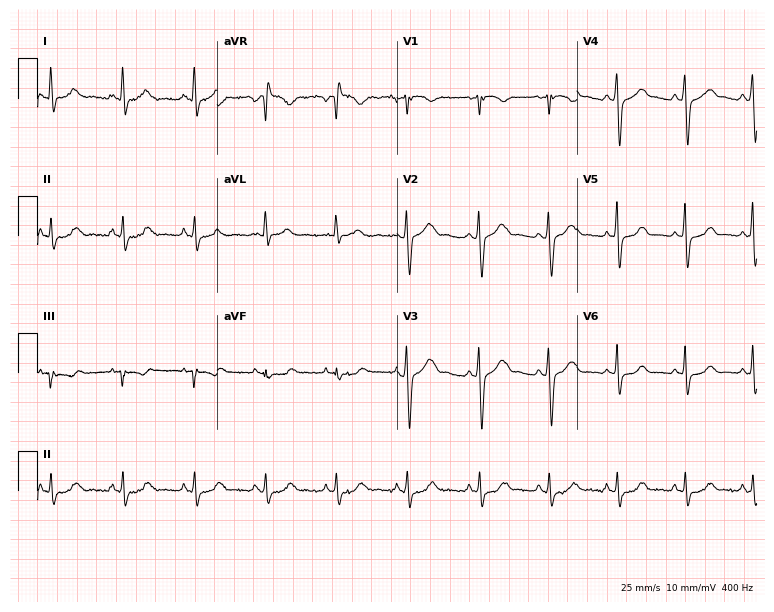
ECG (7.3-second recording at 400 Hz) — a female patient, 43 years old. Screened for six findings — first-degree AV block, right bundle branch block (RBBB), left bundle branch block (LBBB), sinus bradycardia, atrial fibrillation (AF), sinus tachycardia — none is recorded.